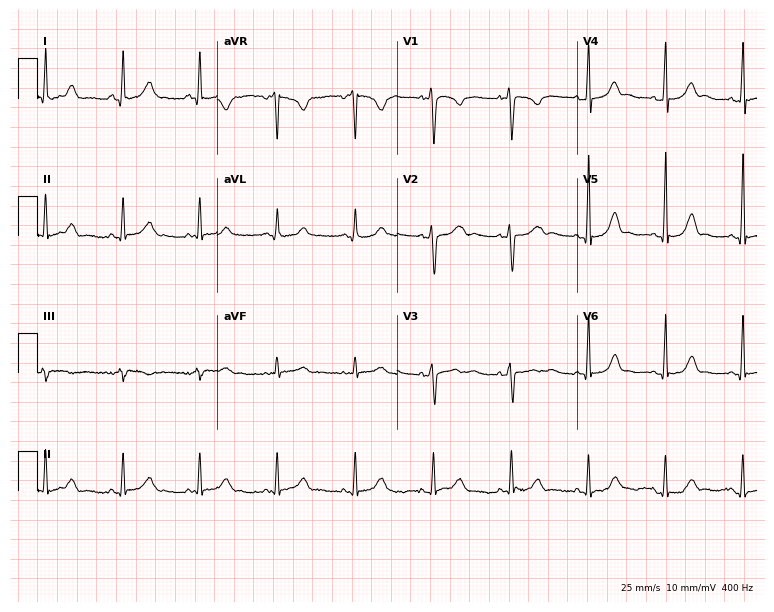
12-lead ECG from a female, 25 years old. Recorded interpretation: within normal limits.